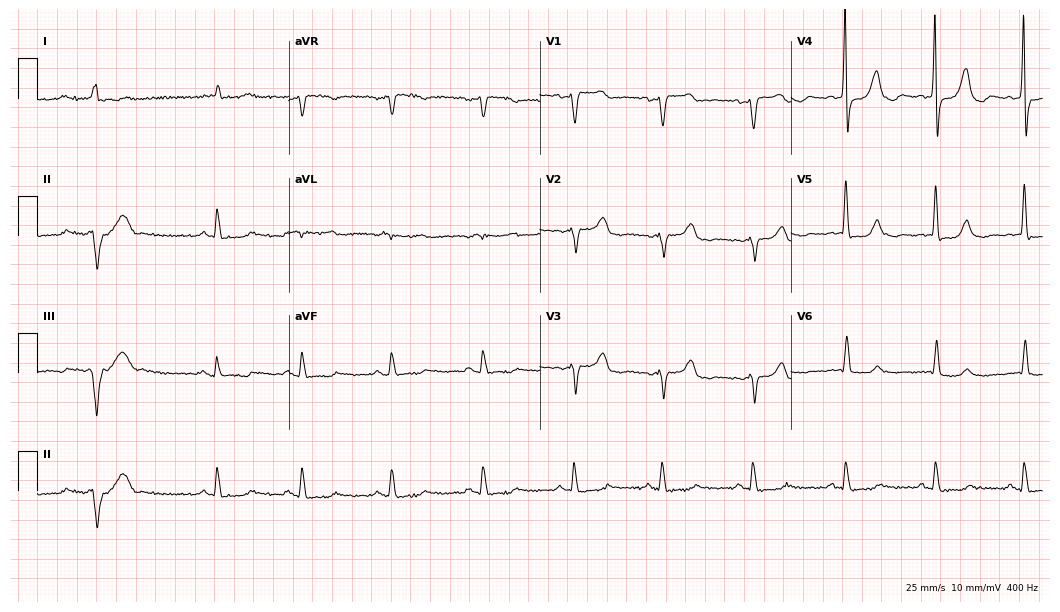
12-lead ECG from a male patient, 75 years old (10.2-second recording at 400 Hz). No first-degree AV block, right bundle branch block, left bundle branch block, sinus bradycardia, atrial fibrillation or sinus tachycardia recorded for this tracing.